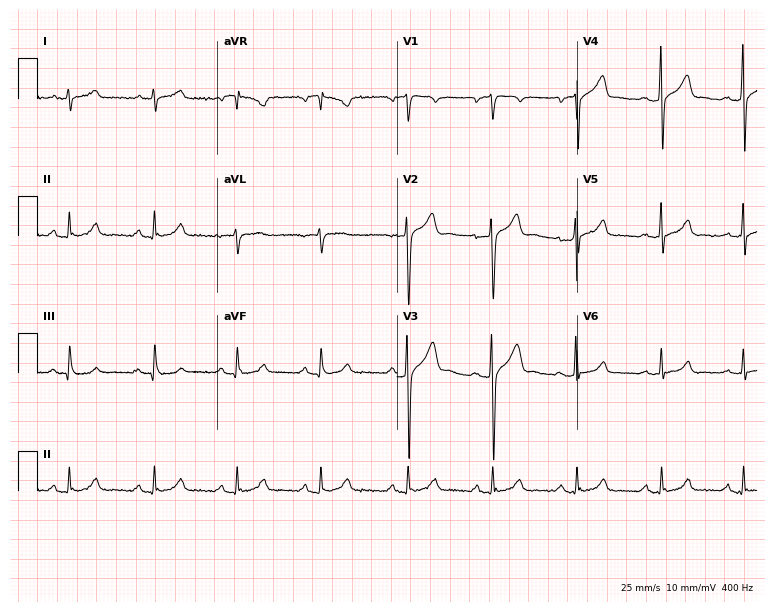
ECG — a 40-year-old male. Screened for six findings — first-degree AV block, right bundle branch block (RBBB), left bundle branch block (LBBB), sinus bradycardia, atrial fibrillation (AF), sinus tachycardia — none is recorded. Only these six findings were labelled.